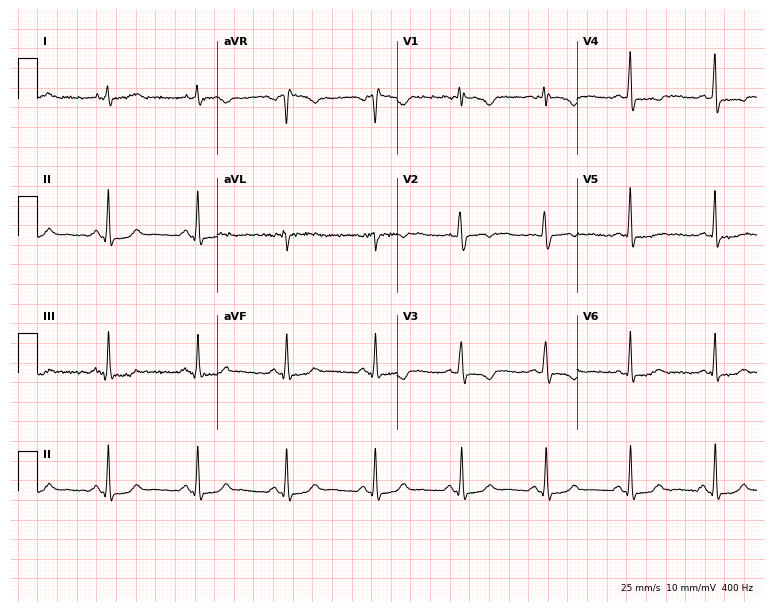
Electrocardiogram (7.3-second recording at 400 Hz), a woman, 29 years old. Of the six screened findings (first-degree AV block, right bundle branch block, left bundle branch block, sinus bradycardia, atrial fibrillation, sinus tachycardia), none is recorded.